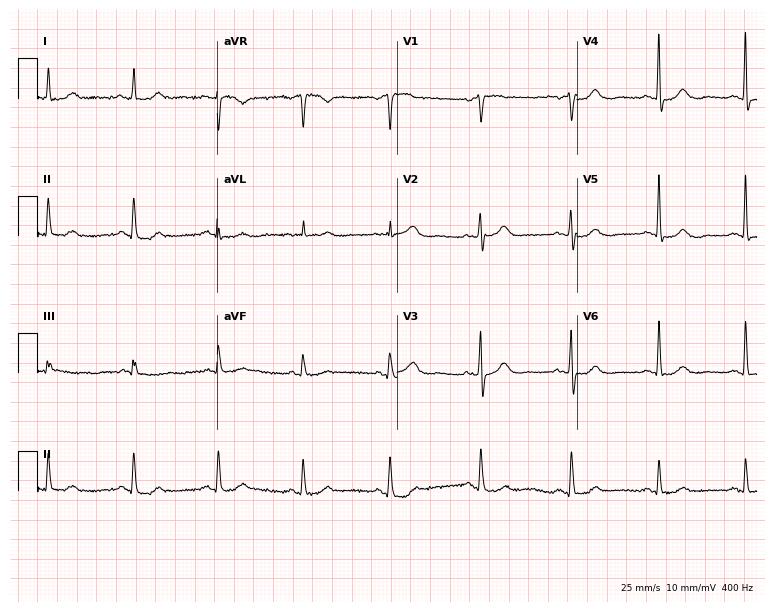
12-lead ECG from a 73-year-old woman. No first-degree AV block, right bundle branch block (RBBB), left bundle branch block (LBBB), sinus bradycardia, atrial fibrillation (AF) or sinus tachycardia recorded for this tracing. Other findings, if any, are not listed.